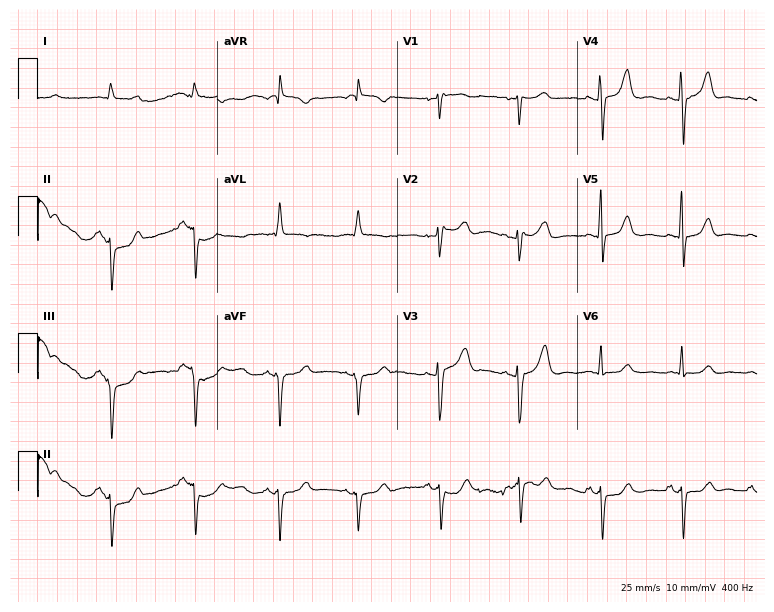
12-lead ECG from a female, 73 years old (7.3-second recording at 400 Hz). No first-degree AV block, right bundle branch block, left bundle branch block, sinus bradycardia, atrial fibrillation or sinus tachycardia recorded for this tracing. Findings outside these six are not listed.